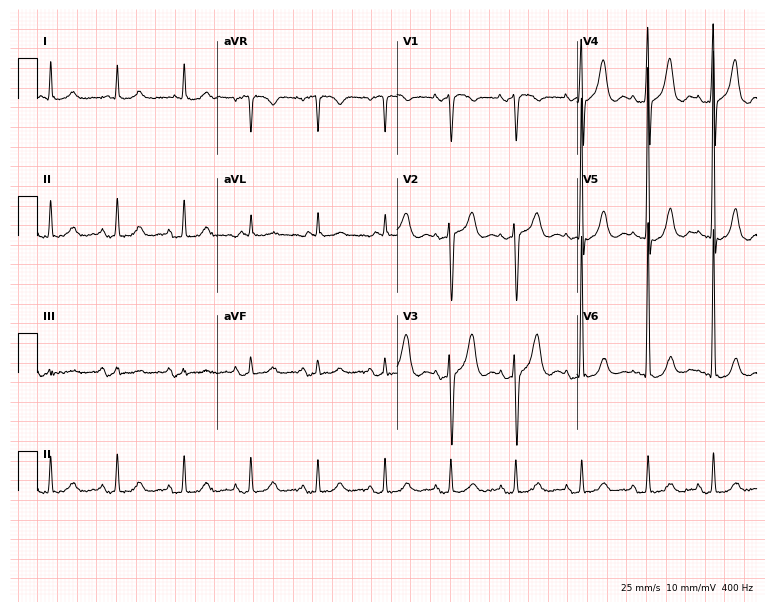
12-lead ECG from a 77-year-old male patient. No first-degree AV block, right bundle branch block (RBBB), left bundle branch block (LBBB), sinus bradycardia, atrial fibrillation (AF) or sinus tachycardia recorded for this tracing. Other findings, if any, are not listed.